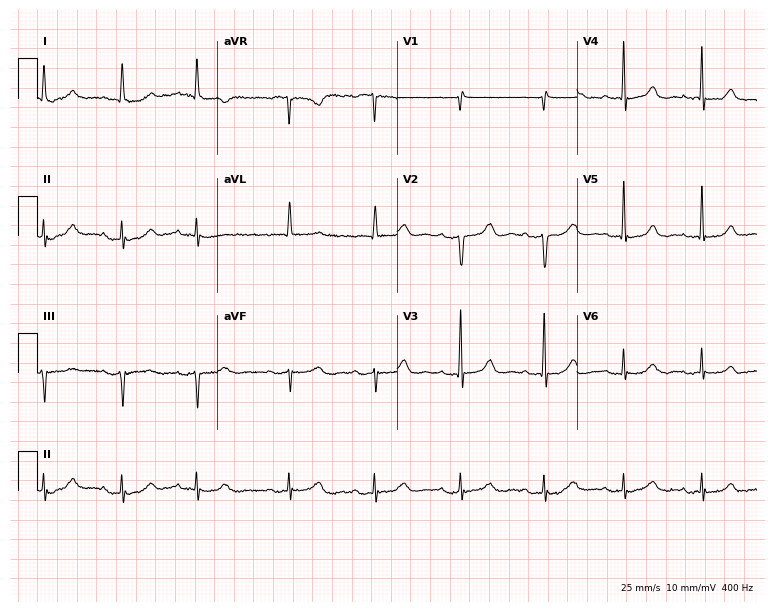
Electrocardiogram, a female, 78 years old. Of the six screened findings (first-degree AV block, right bundle branch block (RBBB), left bundle branch block (LBBB), sinus bradycardia, atrial fibrillation (AF), sinus tachycardia), none is recorded.